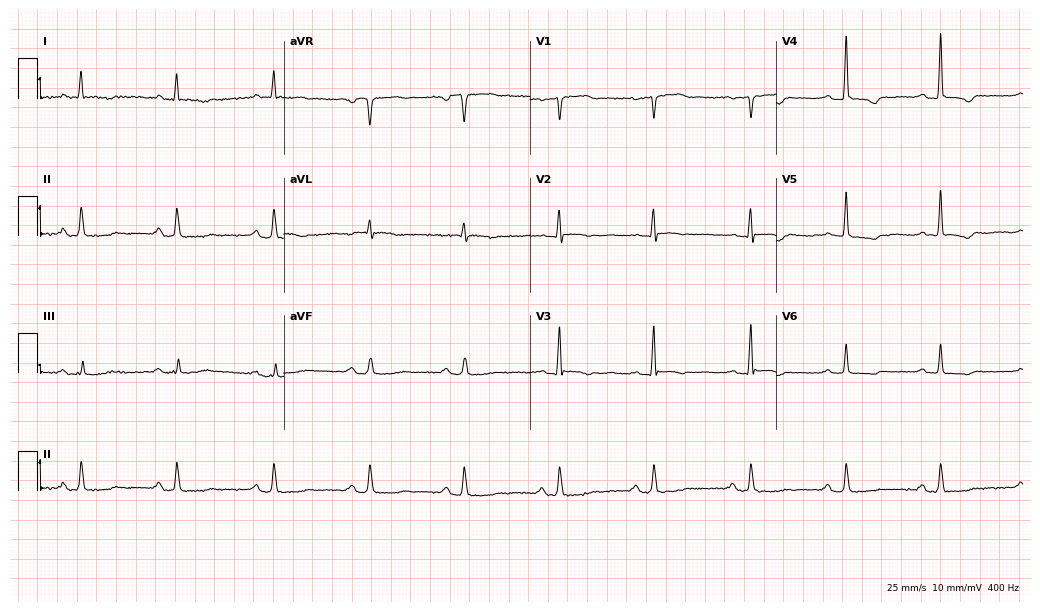
Resting 12-lead electrocardiogram (10-second recording at 400 Hz). Patient: a woman, 75 years old. None of these six findings is recorded: first-degree AV block, right bundle branch block, left bundle branch block, sinus bradycardia, atrial fibrillation, sinus tachycardia.